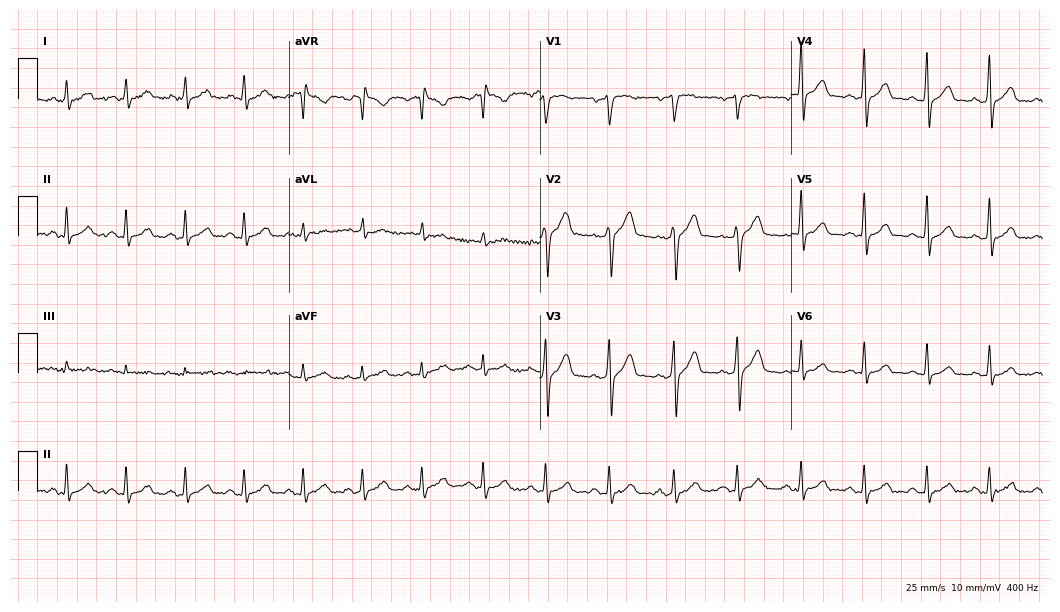
12-lead ECG from a 51-year-old man. Labelled as a normal ECG.